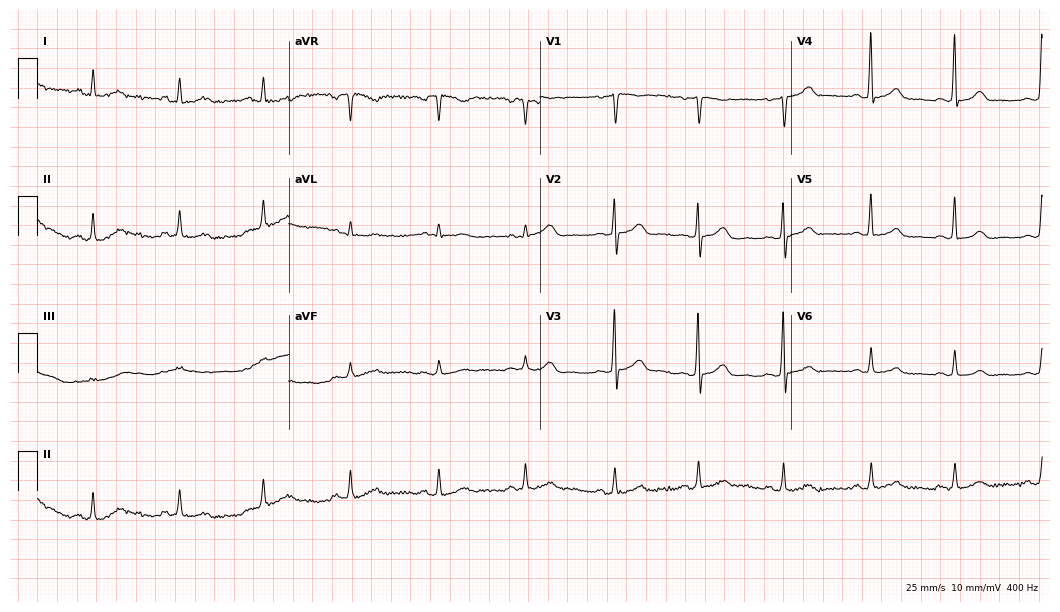
ECG (10.2-second recording at 400 Hz) — a 47-year-old female patient. Labelled as a normal ECG.